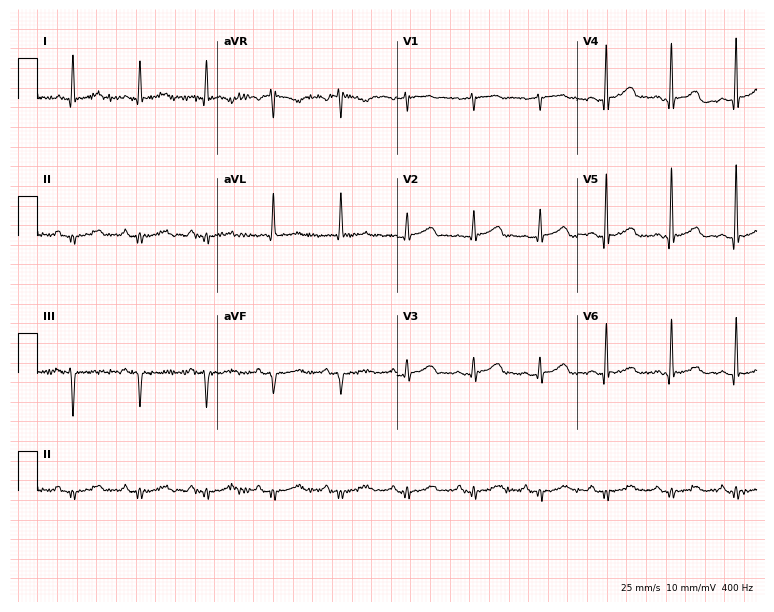
ECG — a female patient, 72 years old. Screened for six findings — first-degree AV block, right bundle branch block, left bundle branch block, sinus bradycardia, atrial fibrillation, sinus tachycardia — none is recorded.